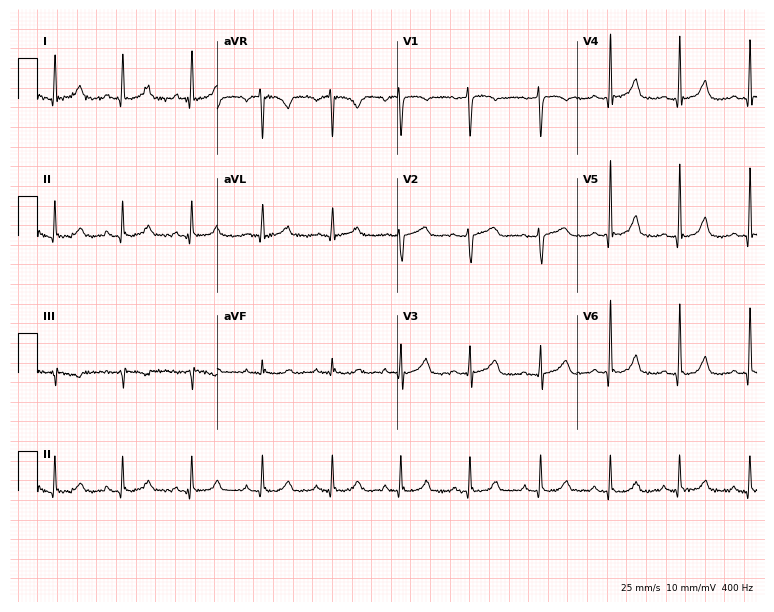
12-lead ECG from a female patient, 41 years old. Recorded interpretation: within normal limits.